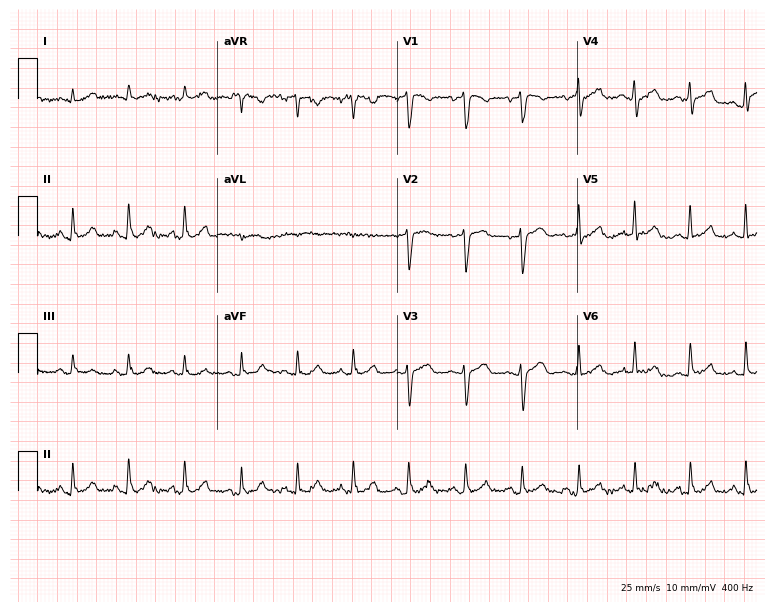
Electrocardiogram, a male patient, 46 years old. Of the six screened findings (first-degree AV block, right bundle branch block (RBBB), left bundle branch block (LBBB), sinus bradycardia, atrial fibrillation (AF), sinus tachycardia), none is recorded.